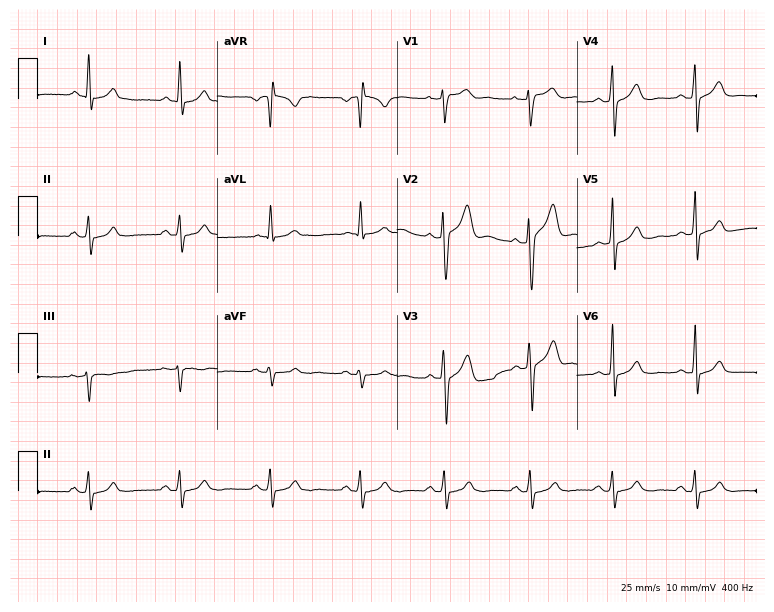
ECG (7.3-second recording at 400 Hz) — a 41-year-old male patient. Screened for six findings — first-degree AV block, right bundle branch block (RBBB), left bundle branch block (LBBB), sinus bradycardia, atrial fibrillation (AF), sinus tachycardia — none is recorded.